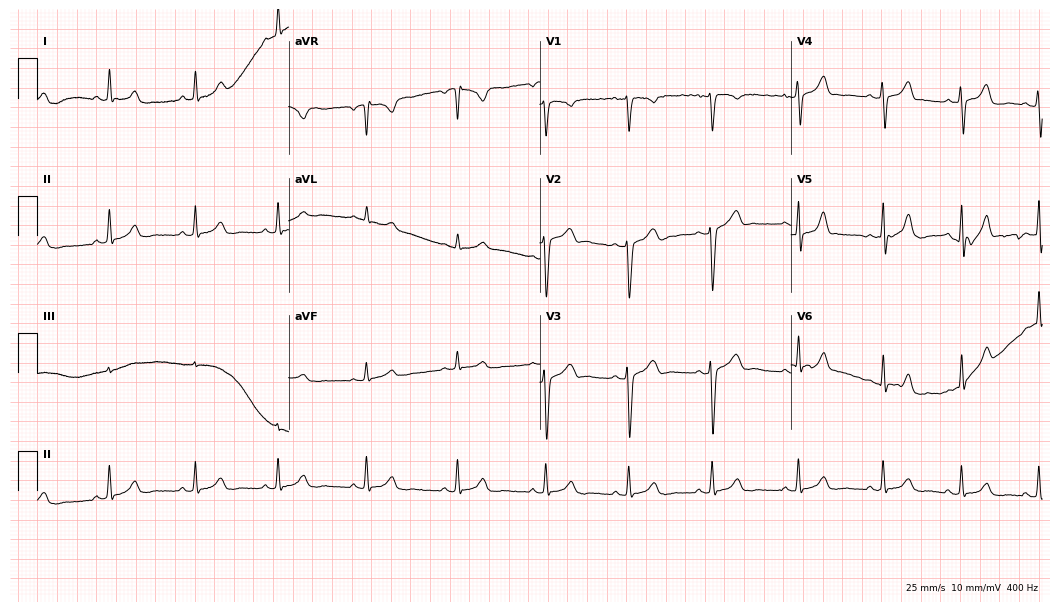
ECG — a 25-year-old female patient. Labelled as a normal ECG.